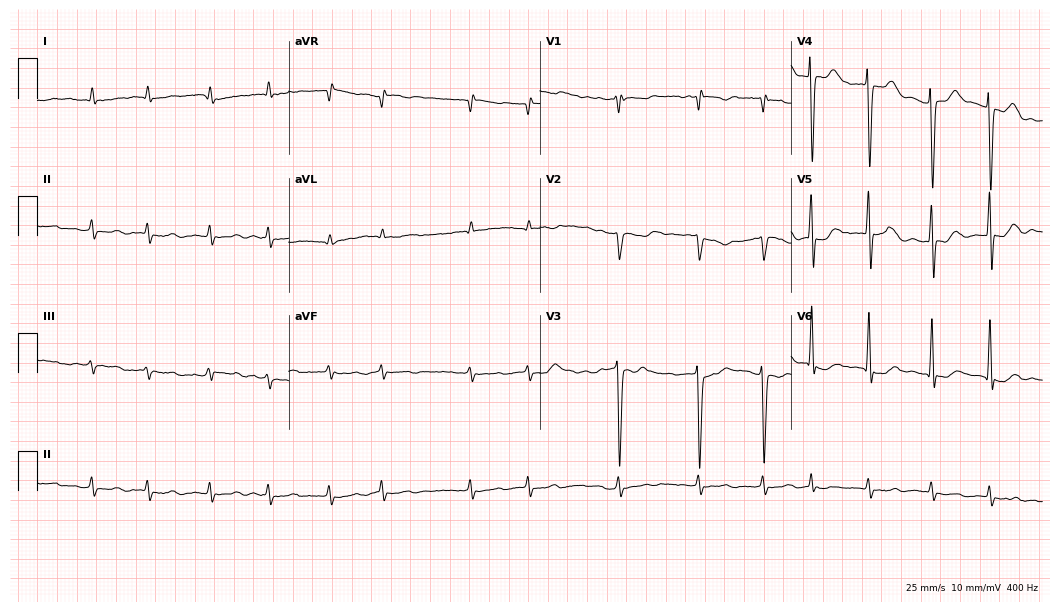
Electrocardiogram (10.2-second recording at 400 Hz), a man, 76 years old. Interpretation includes atrial fibrillation.